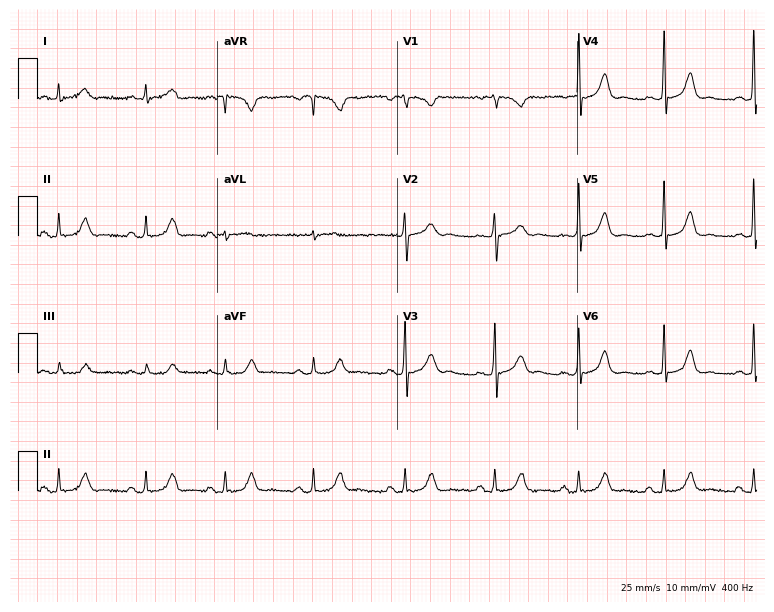
12-lead ECG from a 41-year-old woman (7.3-second recording at 400 Hz). Recorded interpretation: within normal limits.